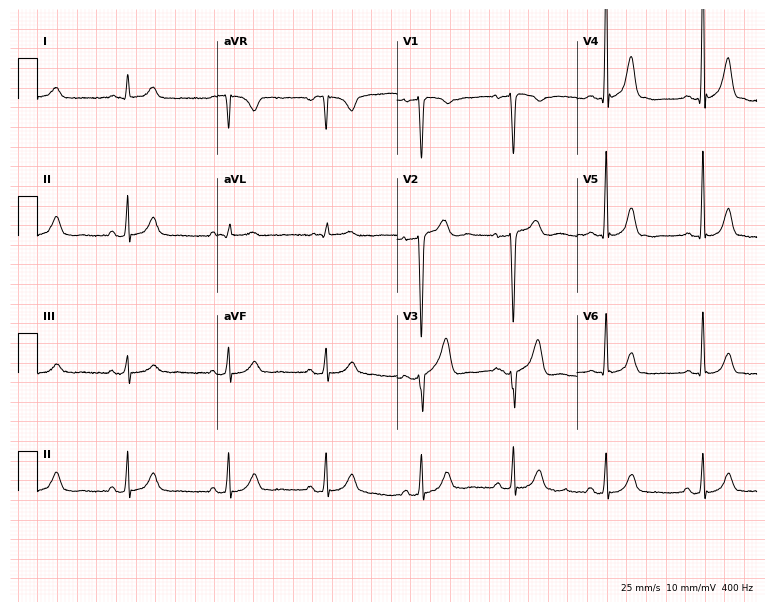
Standard 12-lead ECG recorded from a male patient, 53 years old (7.3-second recording at 400 Hz). Read as a normal ECG.